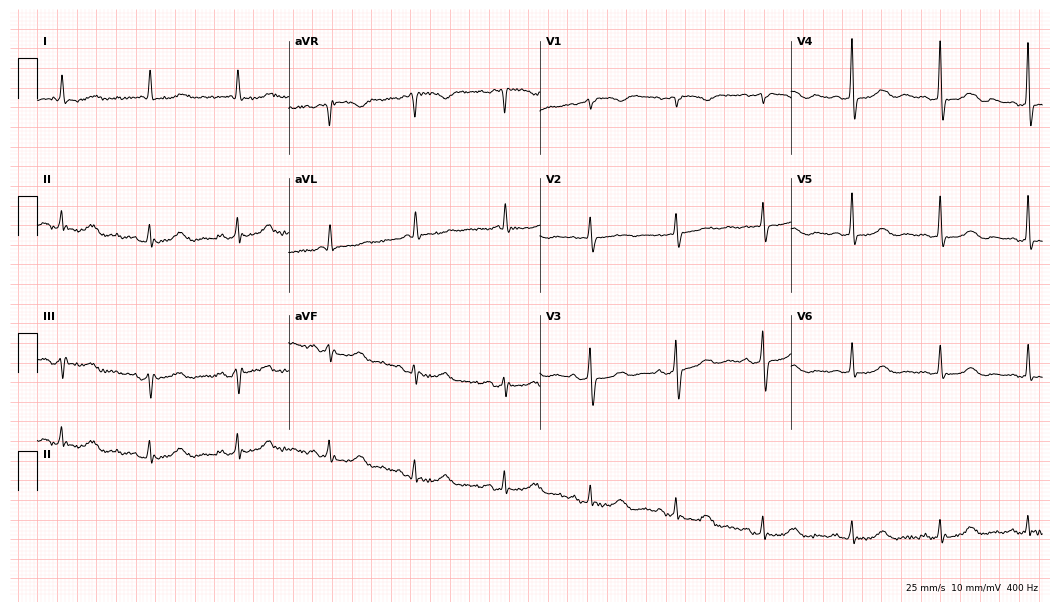
ECG (10.2-second recording at 400 Hz) — a female, 87 years old. Labelled as a normal ECG.